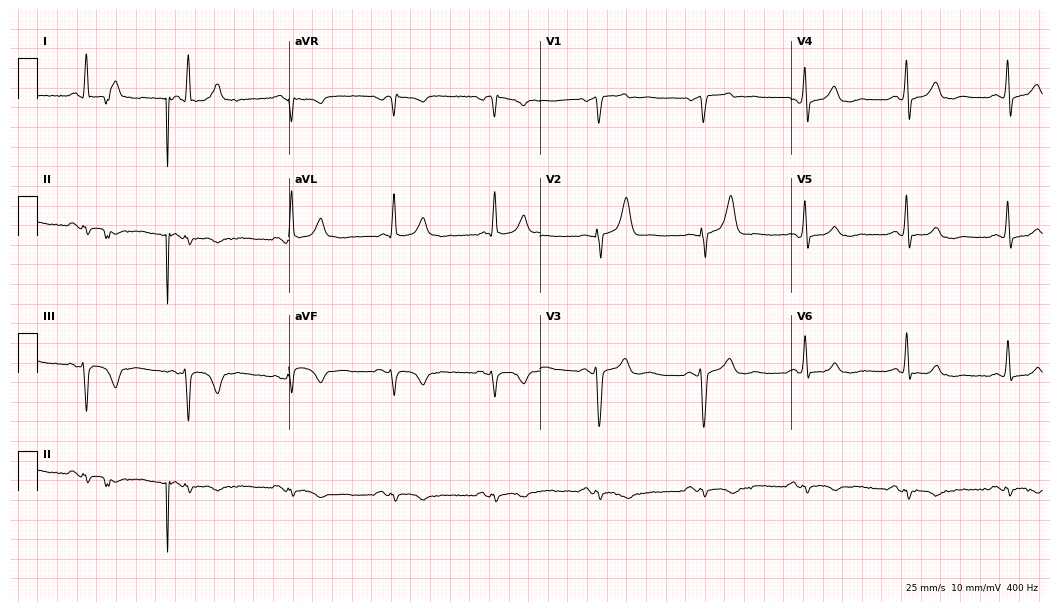
Standard 12-lead ECG recorded from a male, 66 years old (10.2-second recording at 400 Hz). Read as a normal ECG.